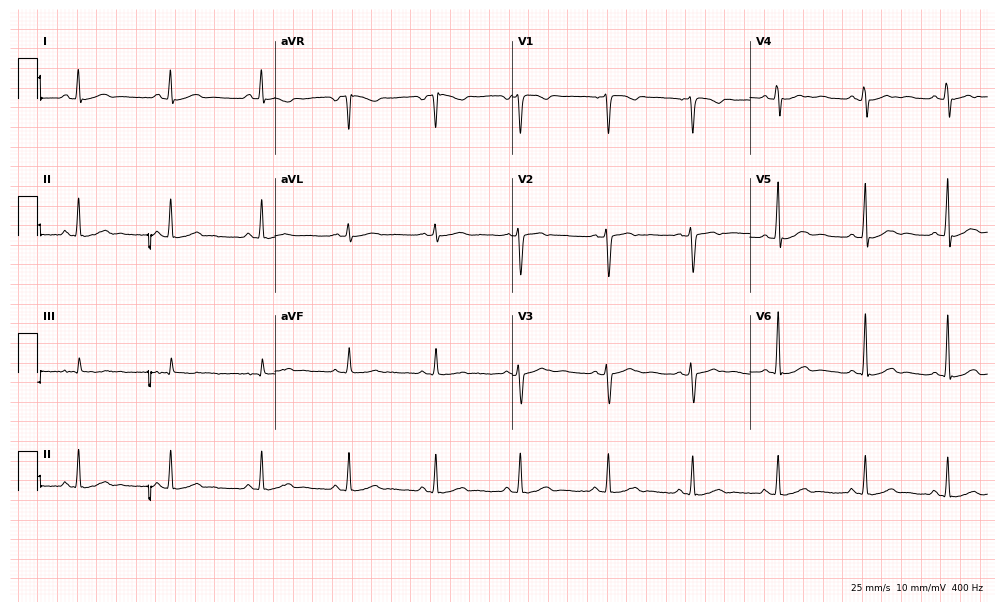
ECG — a woman, 22 years old. Labelled as a normal ECG.